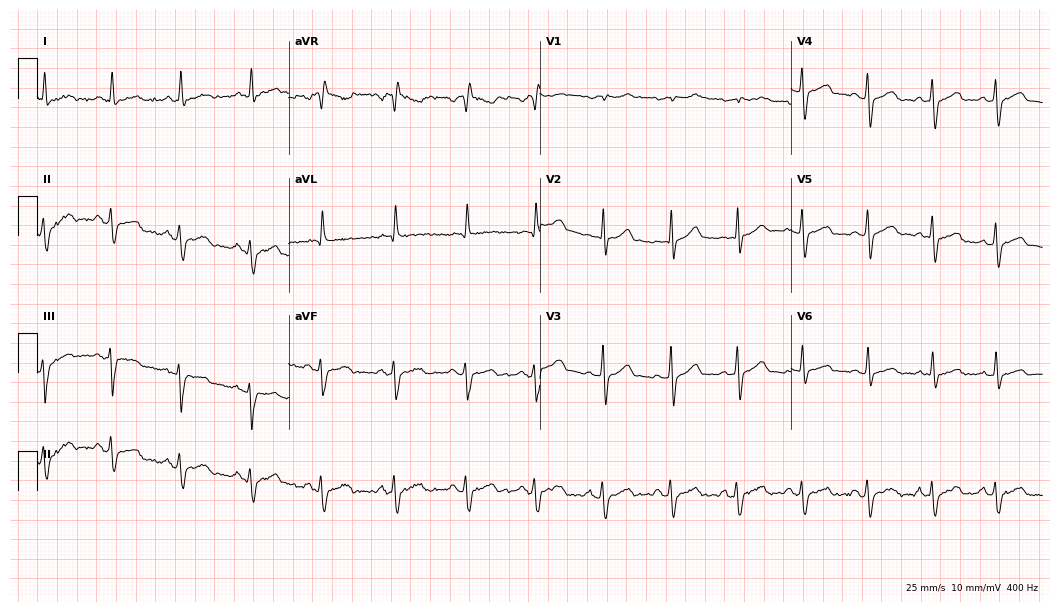
12-lead ECG from a male patient, 49 years old (10.2-second recording at 400 Hz). No first-degree AV block, right bundle branch block (RBBB), left bundle branch block (LBBB), sinus bradycardia, atrial fibrillation (AF) or sinus tachycardia recorded for this tracing.